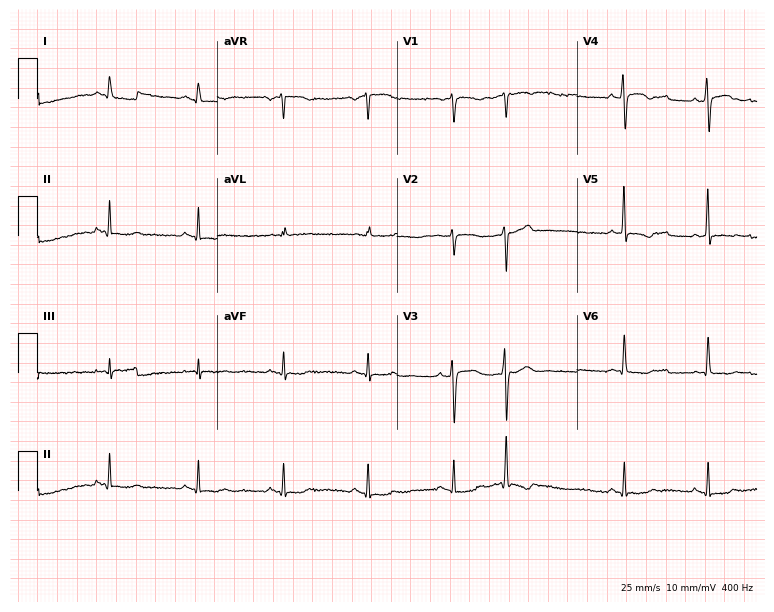
12-lead ECG from a female, 40 years old (7.3-second recording at 400 Hz). No first-degree AV block, right bundle branch block (RBBB), left bundle branch block (LBBB), sinus bradycardia, atrial fibrillation (AF) or sinus tachycardia recorded for this tracing. Other findings, if any, are not listed.